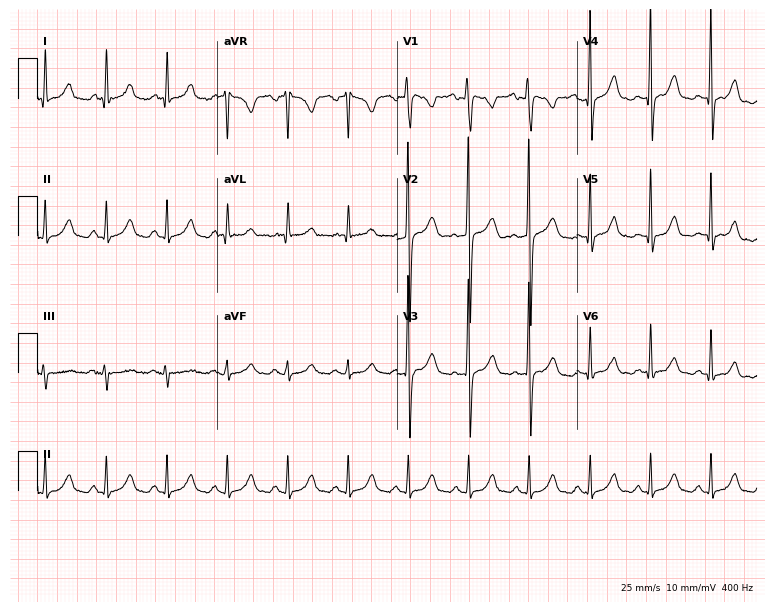
ECG (7.3-second recording at 400 Hz) — a 50-year-old man. Screened for six findings — first-degree AV block, right bundle branch block, left bundle branch block, sinus bradycardia, atrial fibrillation, sinus tachycardia — none is recorded.